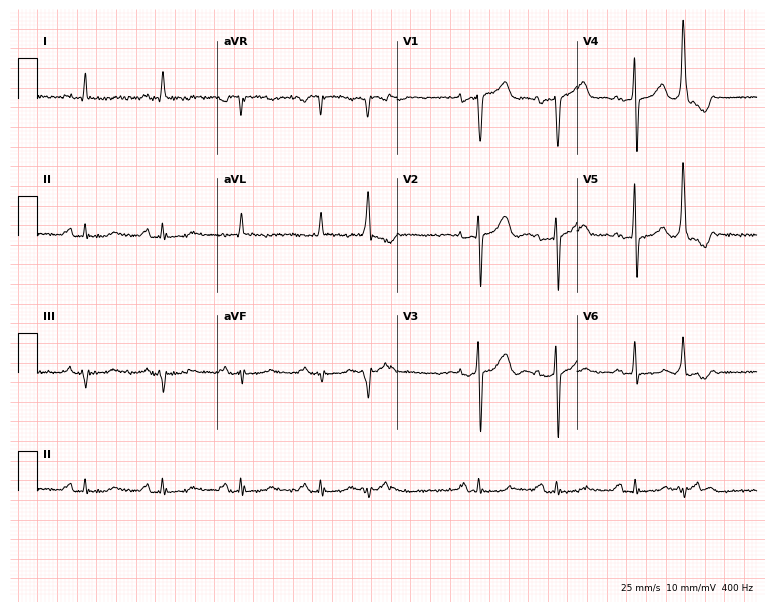
ECG (7.3-second recording at 400 Hz) — a 74-year-old male. Screened for six findings — first-degree AV block, right bundle branch block, left bundle branch block, sinus bradycardia, atrial fibrillation, sinus tachycardia — none is recorded.